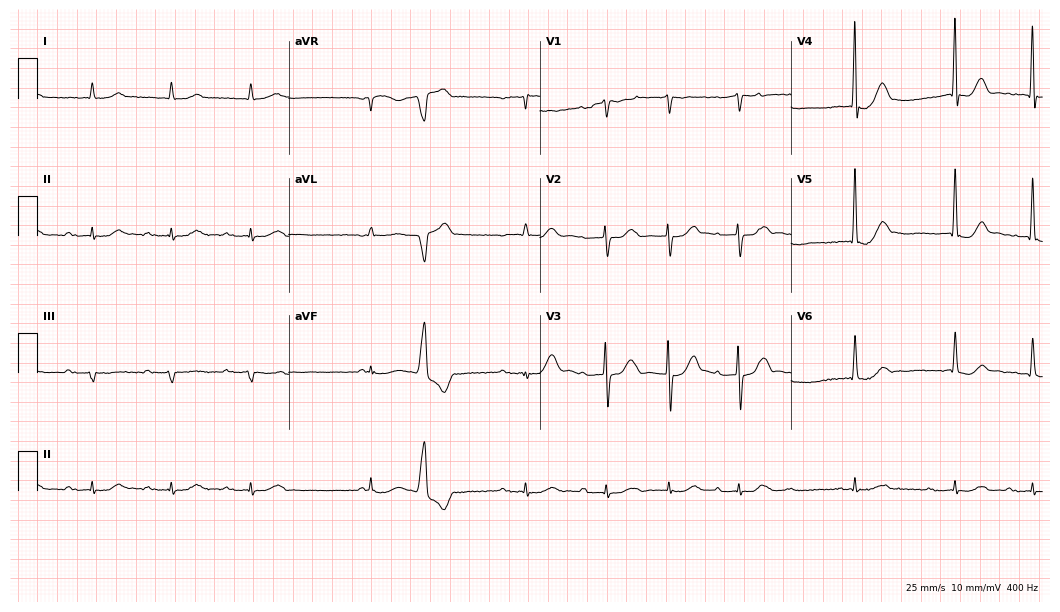
12-lead ECG from a male, 85 years old (10.2-second recording at 400 Hz). Shows first-degree AV block.